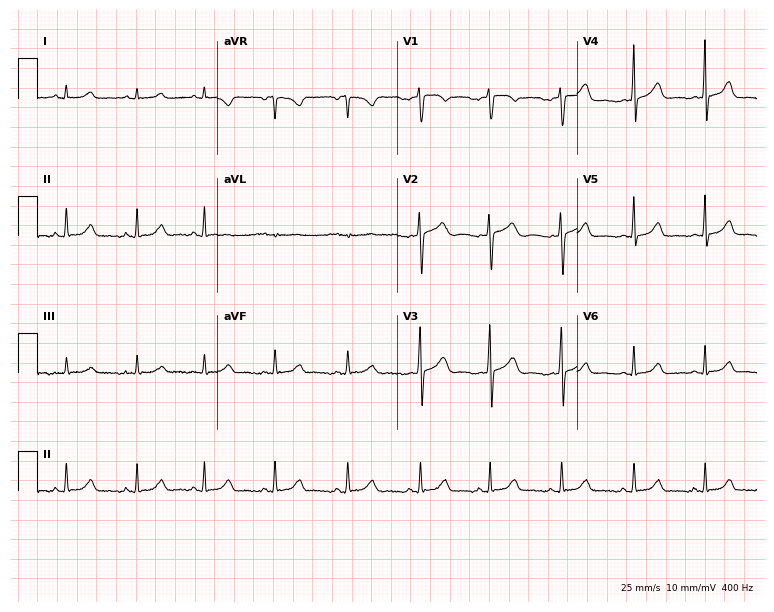
Standard 12-lead ECG recorded from a female, 38 years old. Read as a normal ECG.